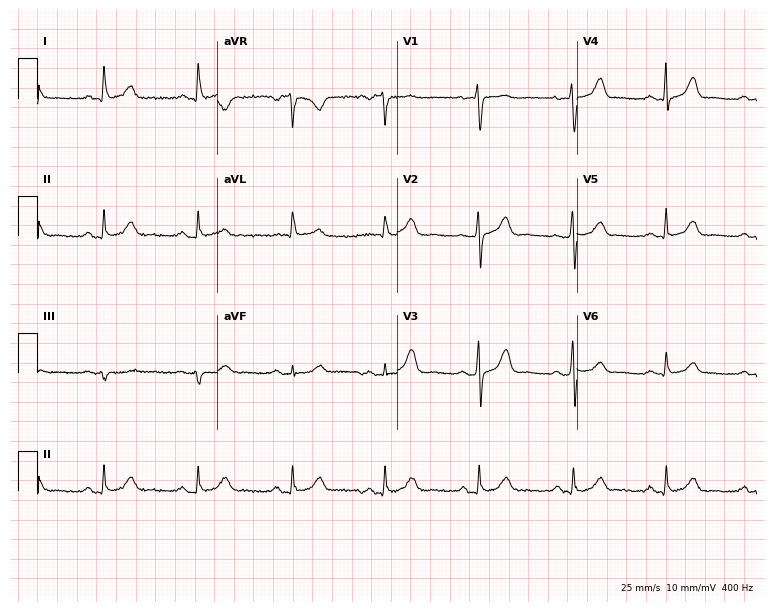
Standard 12-lead ECG recorded from a 66-year-old woman (7.3-second recording at 400 Hz). Read as a normal ECG.